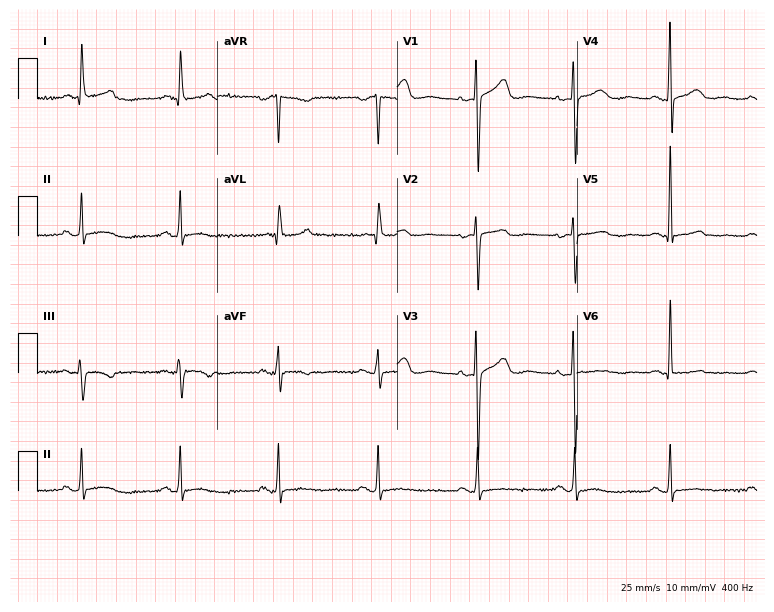
12-lead ECG from a 67-year-old woman. No first-degree AV block, right bundle branch block (RBBB), left bundle branch block (LBBB), sinus bradycardia, atrial fibrillation (AF) or sinus tachycardia recorded for this tracing.